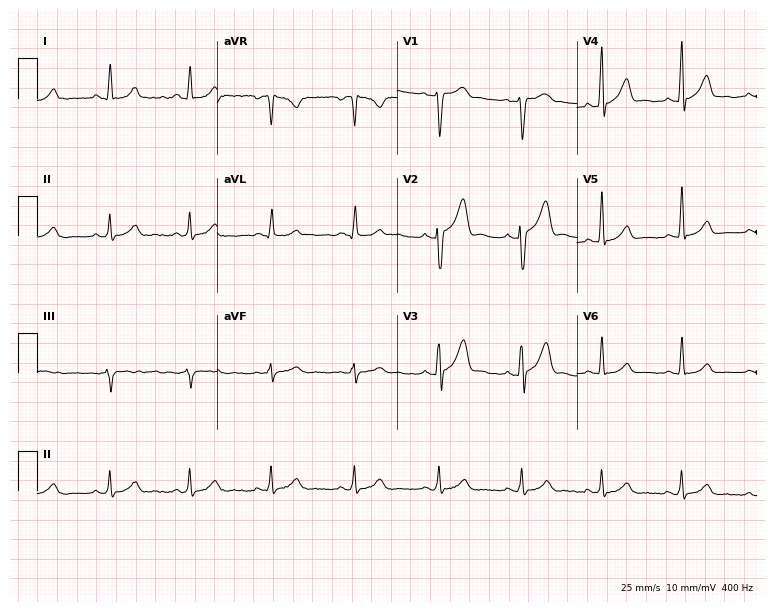
Standard 12-lead ECG recorded from a 24-year-old man. None of these six findings is recorded: first-degree AV block, right bundle branch block, left bundle branch block, sinus bradycardia, atrial fibrillation, sinus tachycardia.